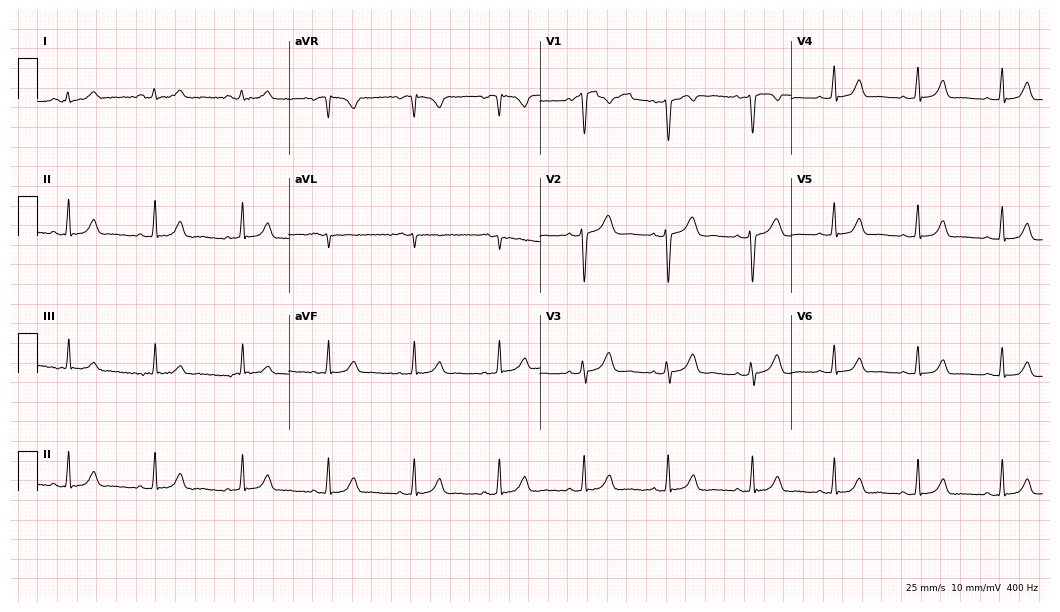
12-lead ECG from a woman, 32 years old. No first-degree AV block, right bundle branch block, left bundle branch block, sinus bradycardia, atrial fibrillation or sinus tachycardia recorded for this tracing.